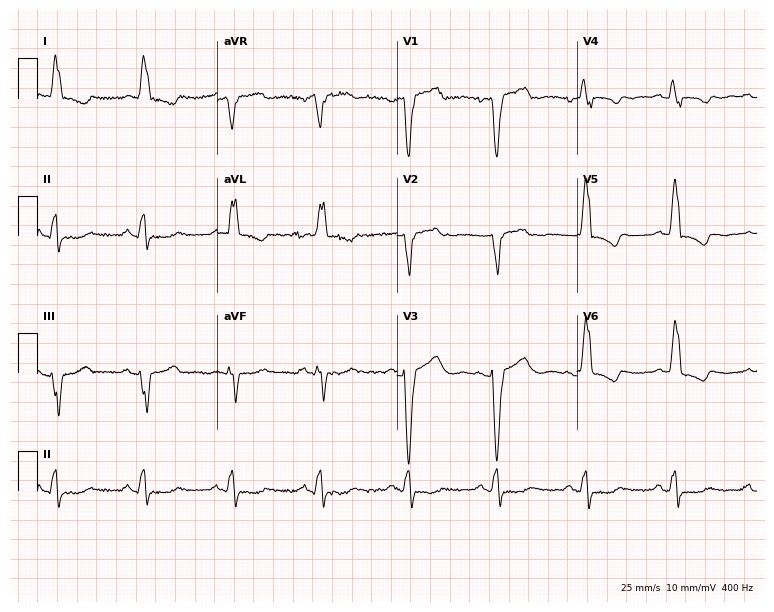
ECG (7.3-second recording at 400 Hz) — a female patient, 81 years old. Findings include left bundle branch block (LBBB).